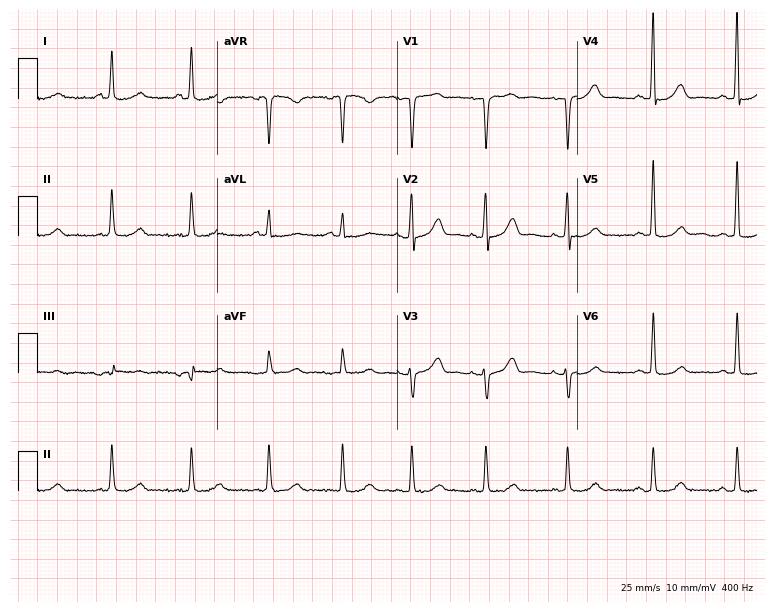
12-lead ECG from a female patient, 73 years old (7.3-second recording at 400 Hz). No first-degree AV block, right bundle branch block (RBBB), left bundle branch block (LBBB), sinus bradycardia, atrial fibrillation (AF) or sinus tachycardia recorded for this tracing. Other findings, if any, are not listed.